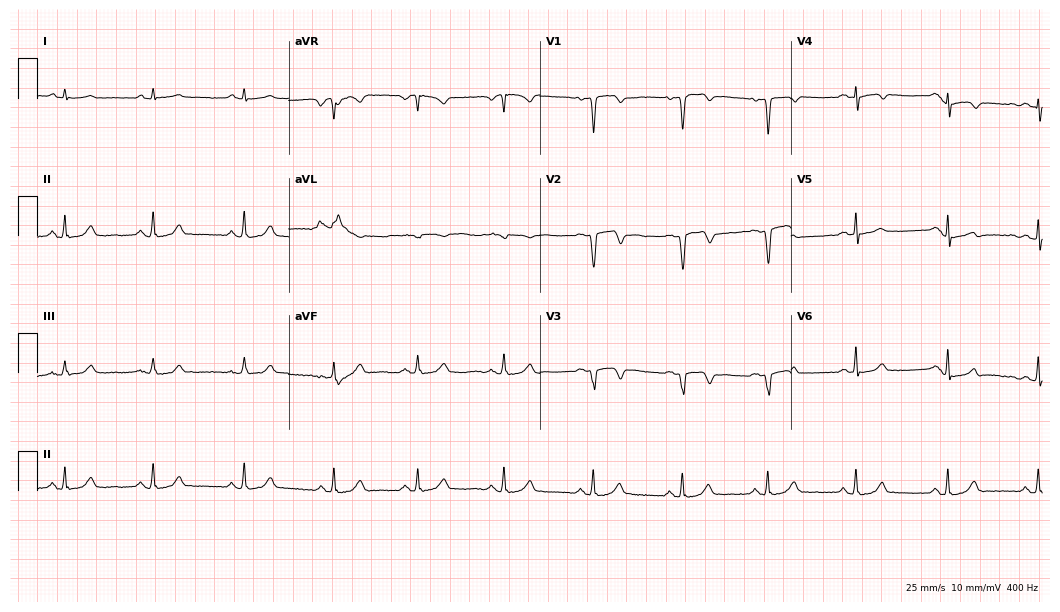
Electrocardiogram (10.2-second recording at 400 Hz), a 55-year-old female. Overall reading on record: normal ECG.